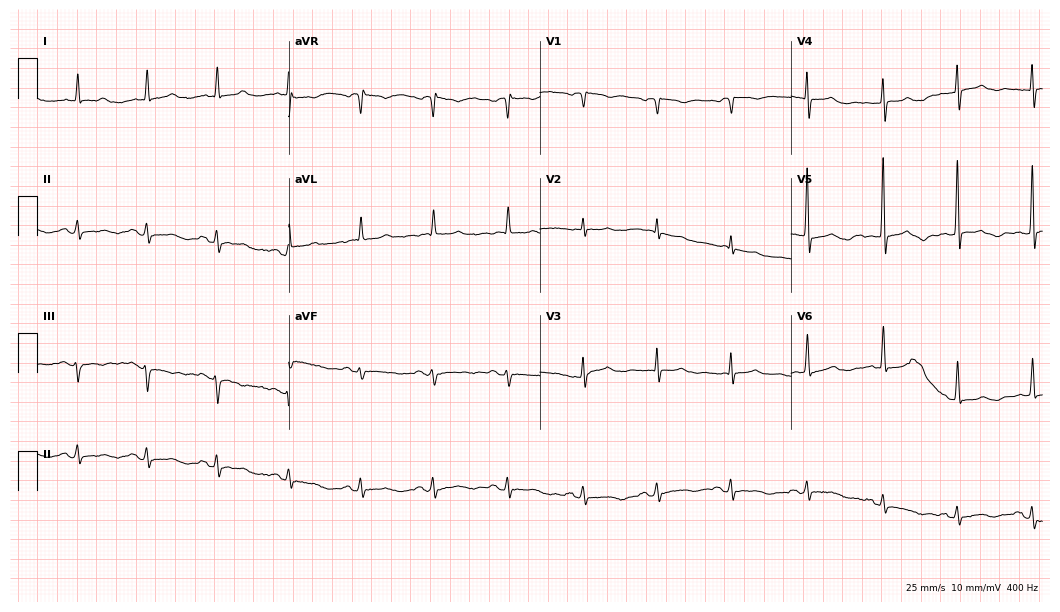
12-lead ECG (10.2-second recording at 400 Hz) from a woman, 86 years old. Labelled as a normal ECG.